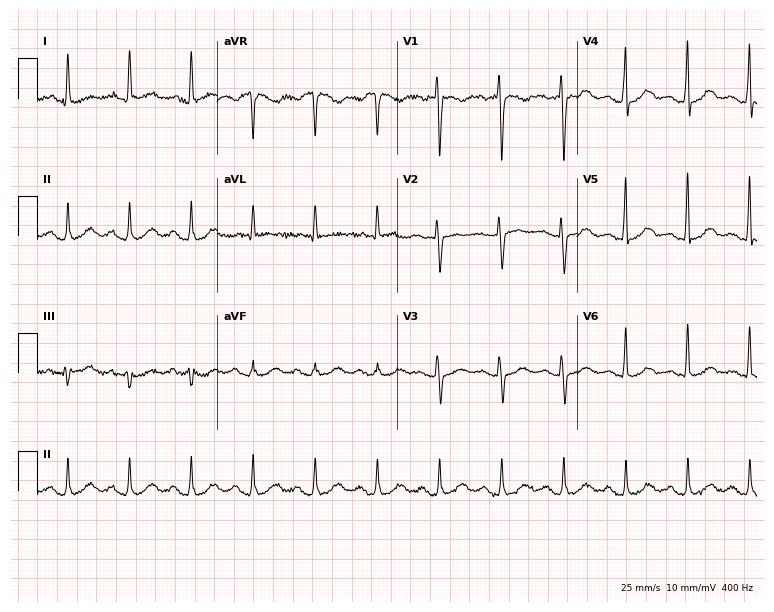
12-lead ECG from a 75-year-old female. Labelled as a normal ECG.